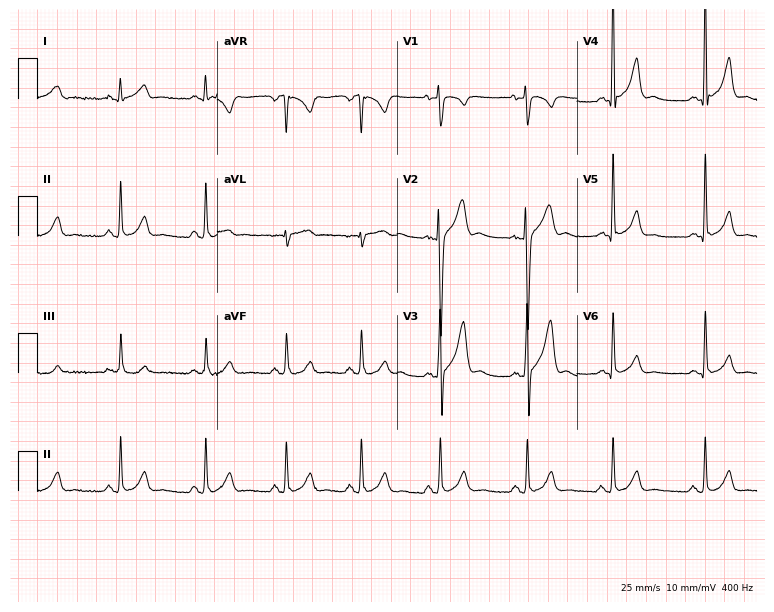
Electrocardiogram, a female, 30 years old. Overall reading on record: normal ECG.